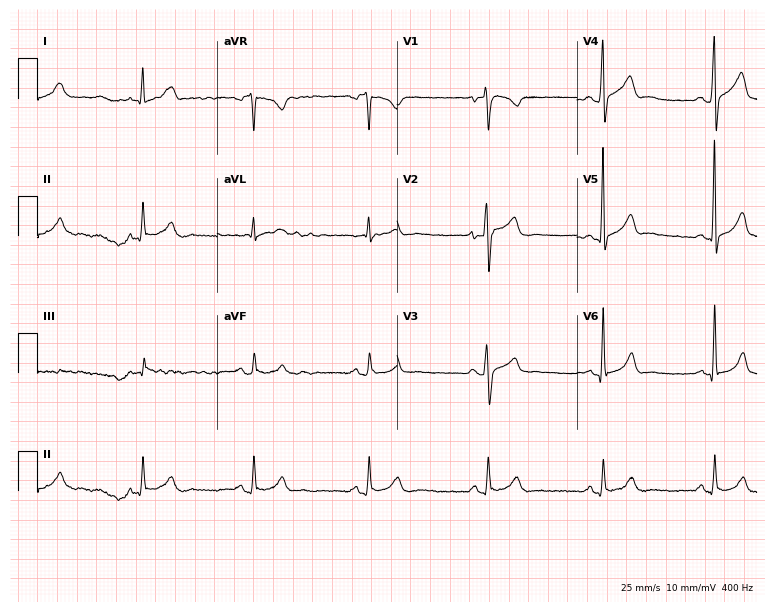
Electrocardiogram, a male patient, 29 years old. Overall reading on record: normal ECG.